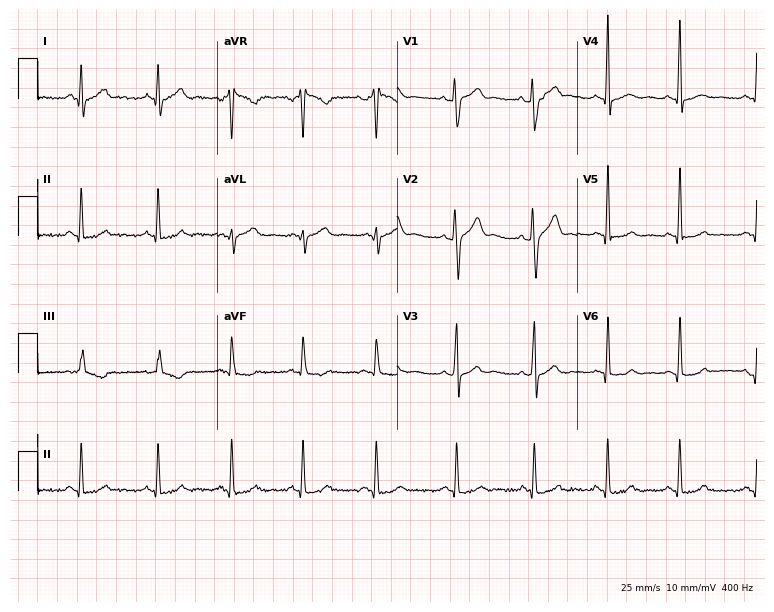
ECG (7.3-second recording at 400 Hz) — a man, 30 years old. Screened for six findings — first-degree AV block, right bundle branch block, left bundle branch block, sinus bradycardia, atrial fibrillation, sinus tachycardia — none is recorded.